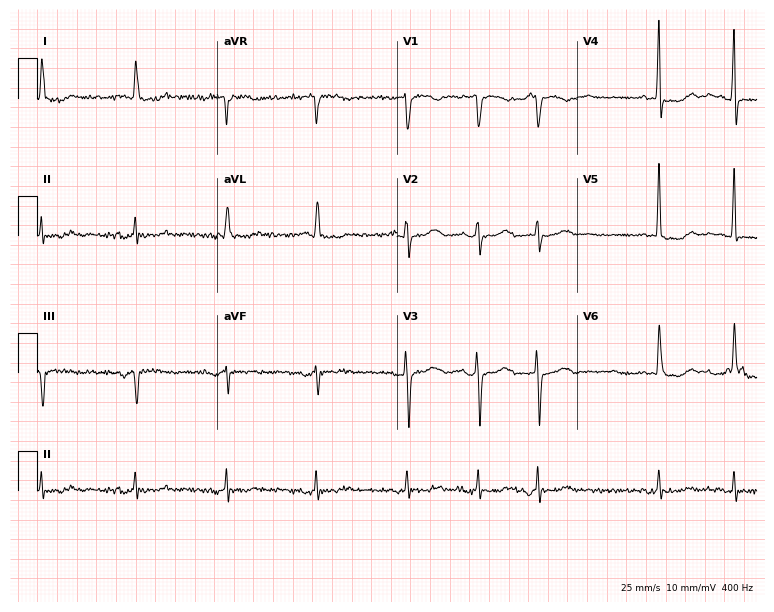
Standard 12-lead ECG recorded from a 77-year-old female patient. None of these six findings is recorded: first-degree AV block, right bundle branch block, left bundle branch block, sinus bradycardia, atrial fibrillation, sinus tachycardia.